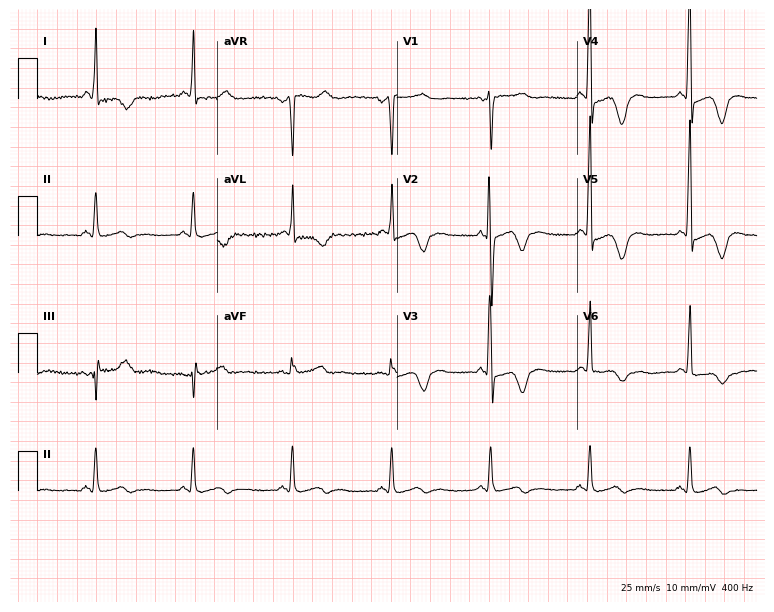
Resting 12-lead electrocardiogram (7.3-second recording at 400 Hz). Patient: a 56-year-old man. None of these six findings is recorded: first-degree AV block, right bundle branch block, left bundle branch block, sinus bradycardia, atrial fibrillation, sinus tachycardia. Other findings, if any, are not listed.